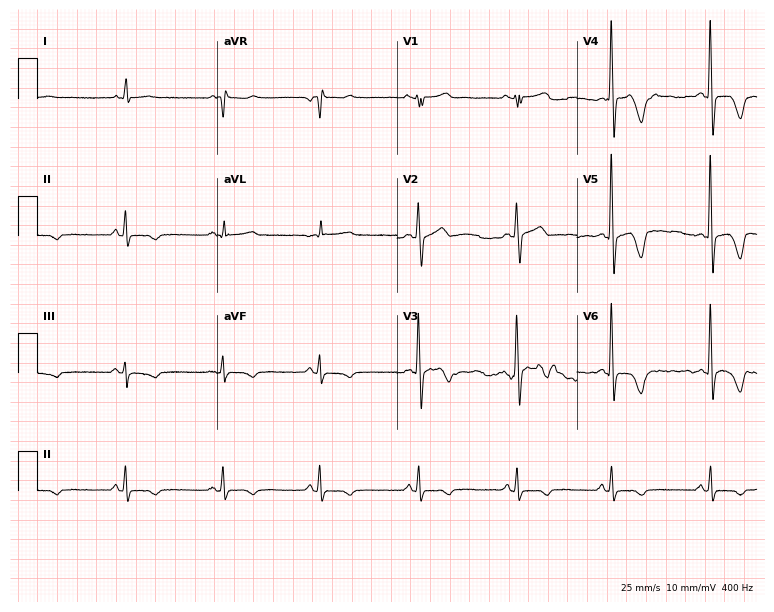
12-lead ECG from a woman, 57 years old (7.3-second recording at 400 Hz). No first-degree AV block, right bundle branch block (RBBB), left bundle branch block (LBBB), sinus bradycardia, atrial fibrillation (AF) or sinus tachycardia recorded for this tracing. Only these six findings were labelled.